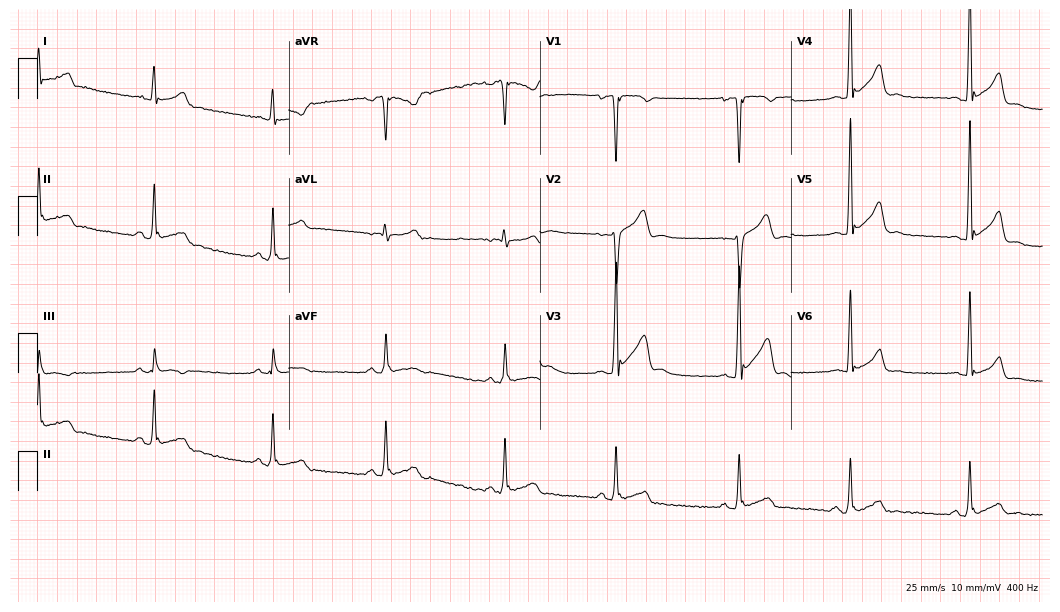
Standard 12-lead ECG recorded from a 21-year-old man. Read as a normal ECG.